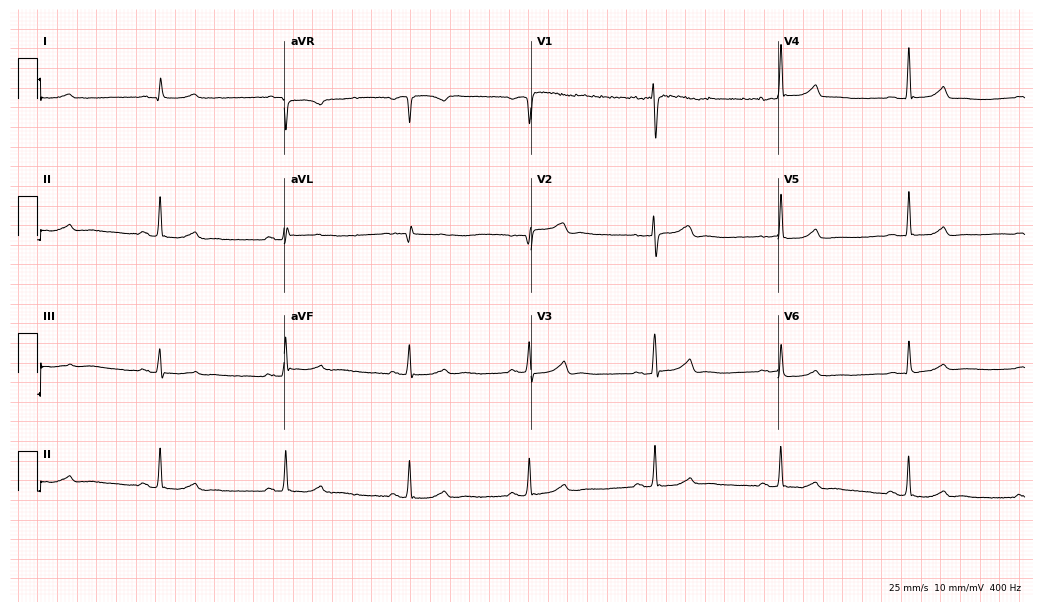
12-lead ECG from a 57-year-old female patient. Screened for six findings — first-degree AV block, right bundle branch block (RBBB), left bundle branch block (LBBB), sinus bradycardia, atrial fibrillation (AF), sinus tachycardia — none is recorded.